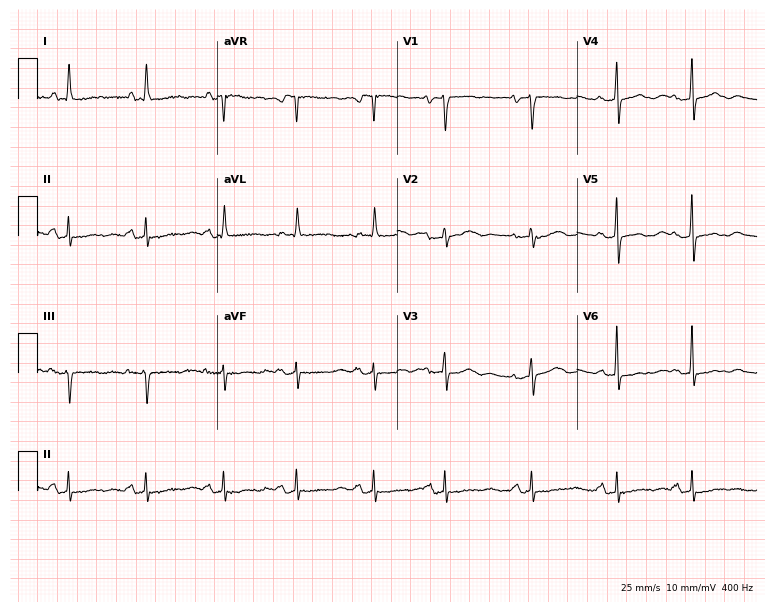
12-lead ECG from a female, 84 years old (7.3-second recording at 400 Hz). No first-degree AV block, right bundle branch block, left bundle branch block, sinus bradycardia, atrial fibrillation or sinus tachycardia recorded for this tracing. Only these six findings were labelled.